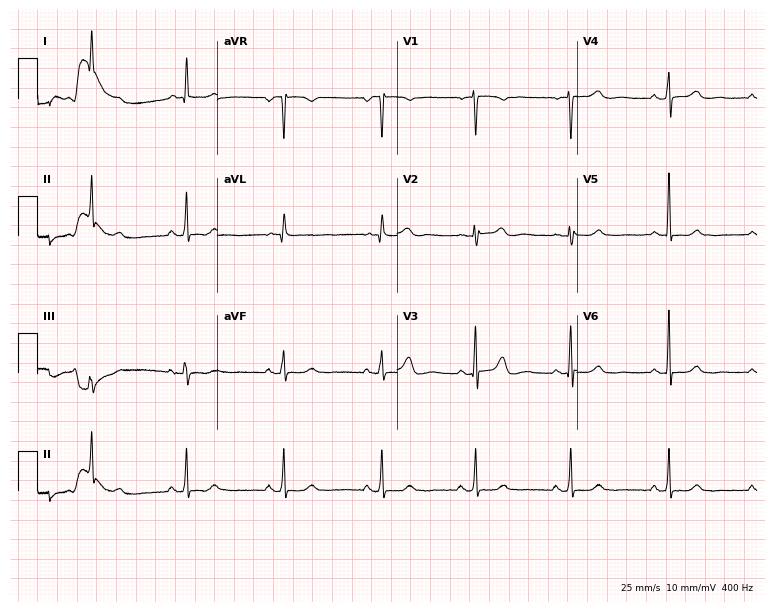
Standard 12-lead ECG recorded from a 63-year-old female. Read as a normal ECG.